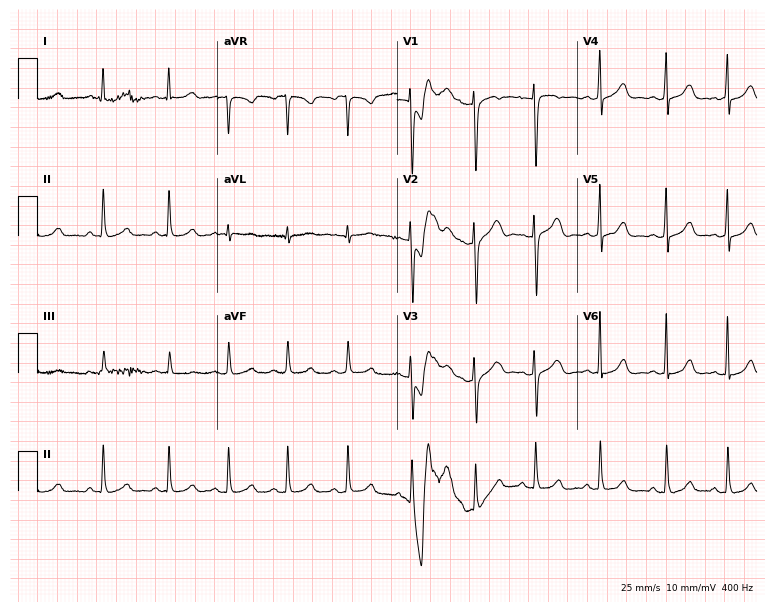
12-lead ECG from a 22-year-old woman (7.3-second recording at 400 Hz). Recorded interpretation: within normal limits.